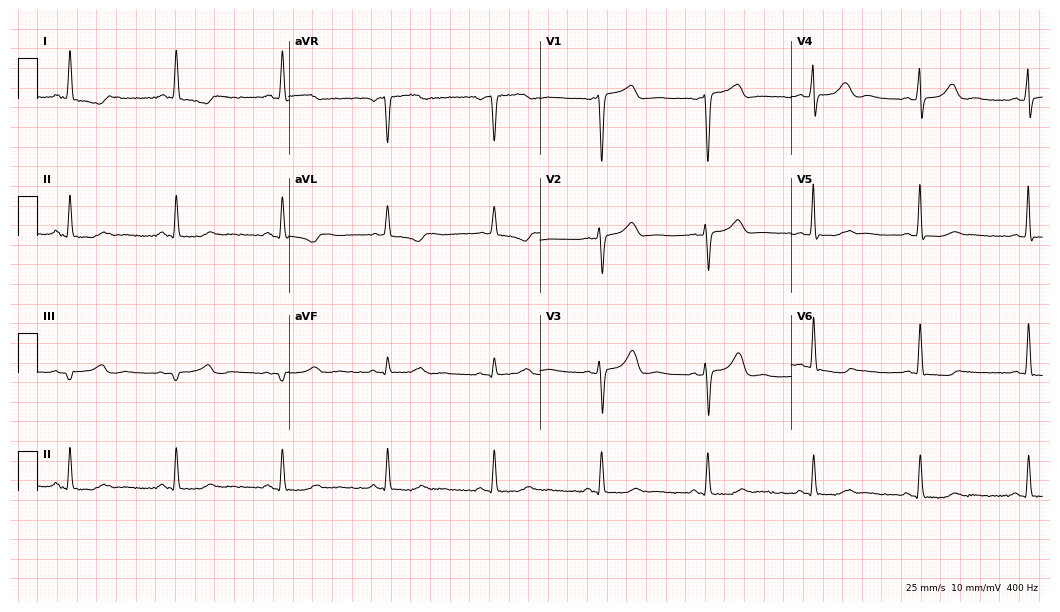
ECG — a 69-year-old female patient. Screened for six findings — first-degree AV block, right bundle branch block (RBBB), left bundle branch block (LBBB), sinus bradycardia, atrial fibrillation (AF), sinus tachycardia — none is recorded. Only these six findings were labelled.